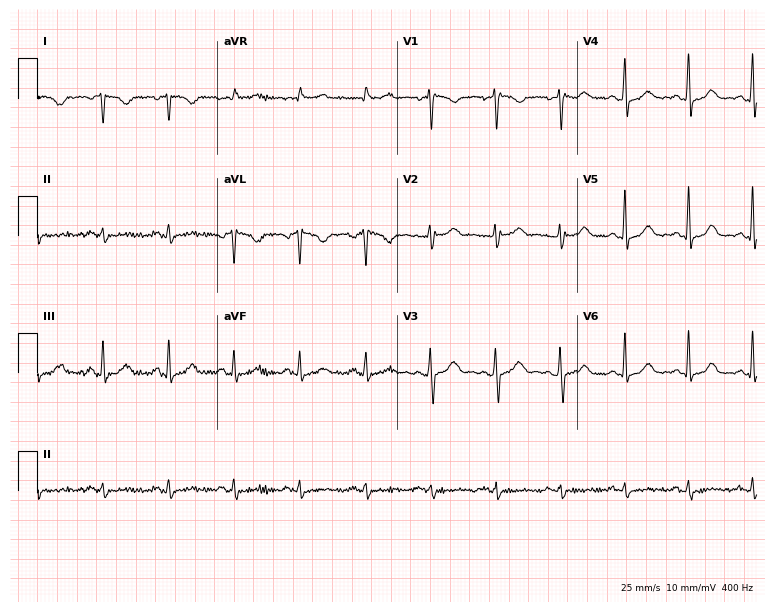
Electrocardiogram (7.3-second recording at 400 Hz), a 35-year-old woman. Of the six screened findings (first-degree AV block, right bundle branch block, left bundle branch block, sinus bradycardia, atrial fibrillation, sinus tachycardia), none is recorded.